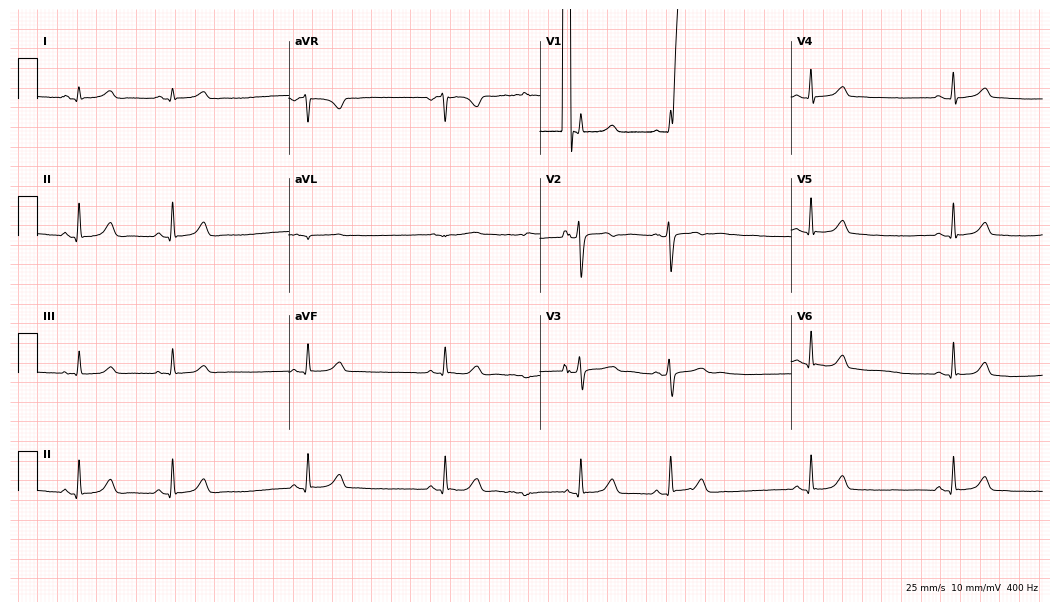
Resting 12-lead electrocardiogram. Patient: a 23-year-old female. None of these six findings is recorded: first-degree AV block, right bundle branch block, left bundle branch block, sinus bradycardia, atrial fibrillation, sinus tachycardia.